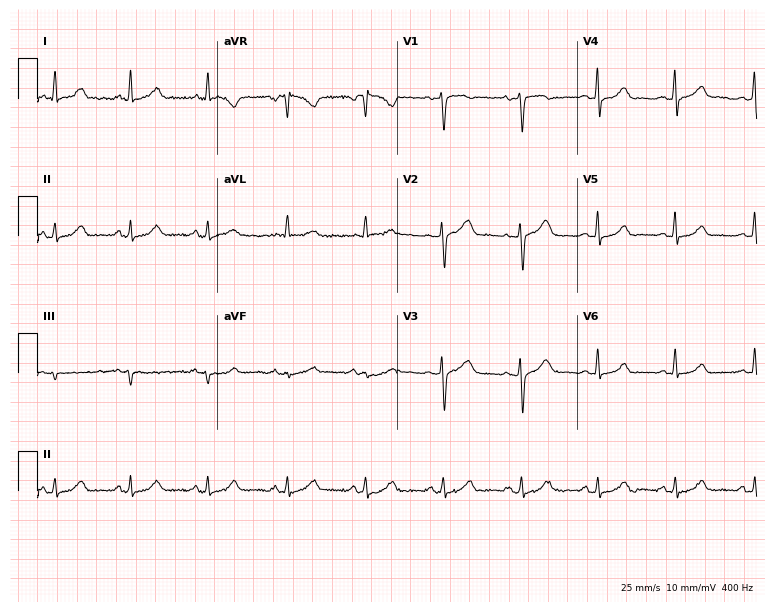
12-lead ECG from a 39-year-old woman (7.3-second recording at 400 Hz). Recorded interpretation: within normal limits.